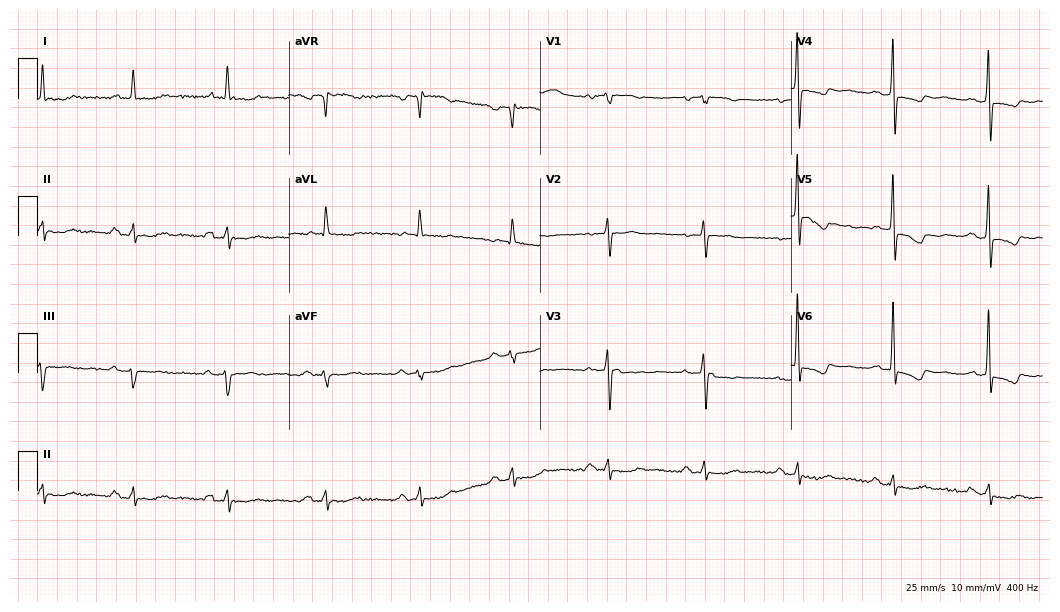
12-lead ECG from a 61-year-old female patient (10.2-second recording at 400 Hz). No first-degree AV block, right bundle branch block, left bundle branch block, sinus bradycardia, atrial fibrillation or sinus tachycardia recorded for this tracing. Findings outside these six are not listed.